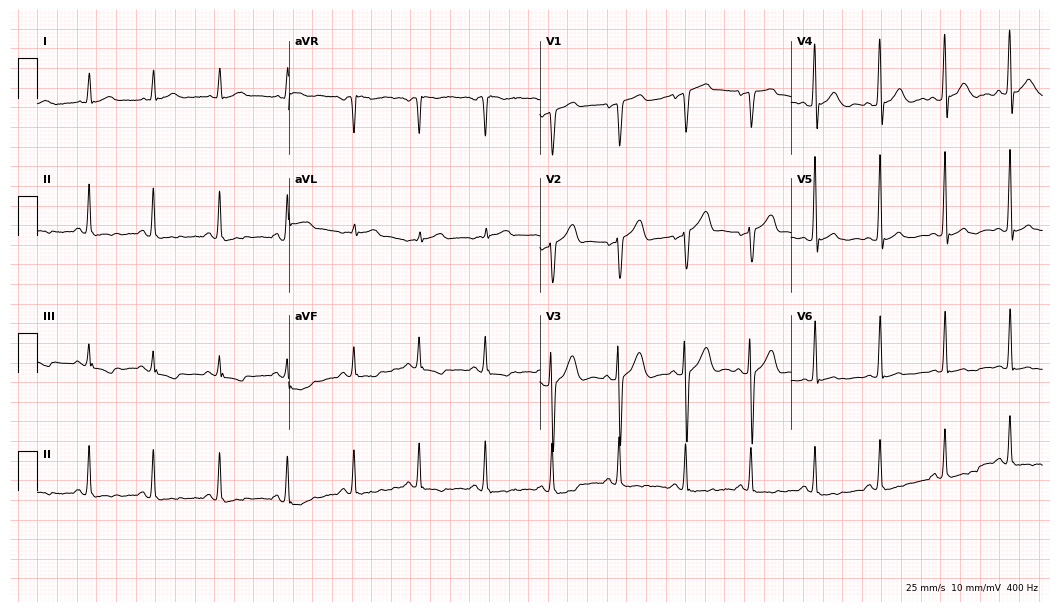
12-lead ECG (10.2-second recording at 400 Hz) from a man, 52 years old. Screened for six findings — first-degree AV block, right bundle branch block, left bundle branch block, sinus bradycardia, atrial fibrillation, sinus tachycardia — none is recorded. Only these six findings were labelled.